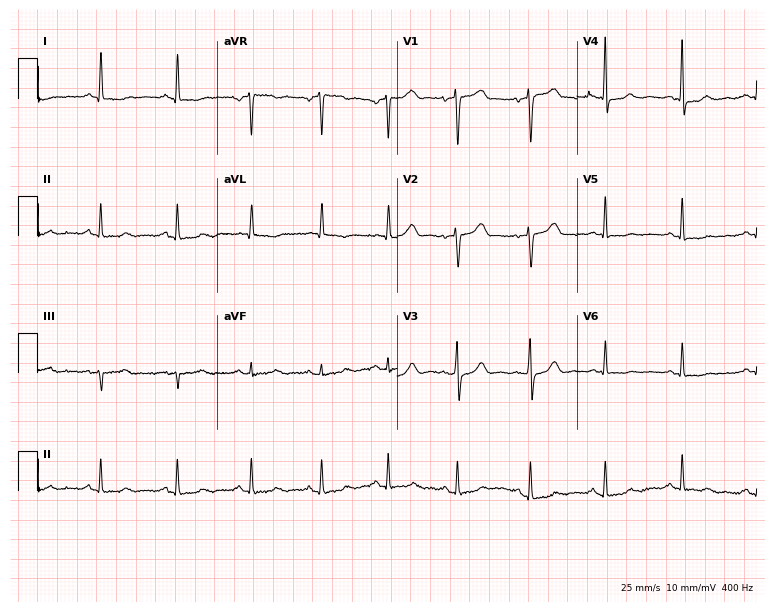
ECG — a 51-year-old woman. Screened for six findings — first-degree AV block, right bundle branch block, left bundle branch block, sinus bradycardia, atrial fibrillation, sinus tachycardia — none is recorded. Other findings, if any, are not listed.